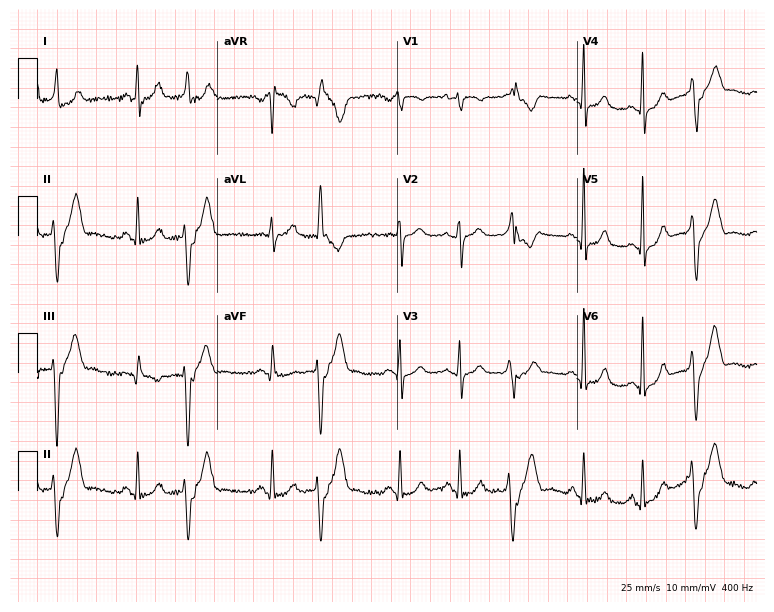
ECG (7.3-second recording at 400 Hz) — a 47-year-old woman. Screened for six findings — first-degree AV block, right bundle branch block, left bundle branch block, sinus bradycardia, atrial fibrillation, sinus tachycardia — none is recorded.